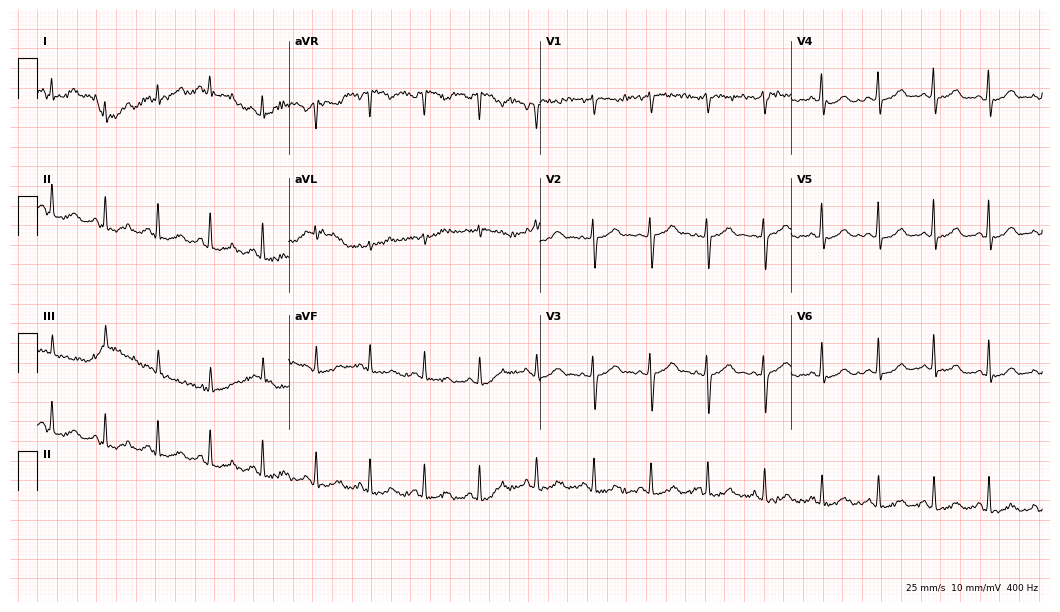
Resting 12-lead electrocardiogram. Patient: a 36-year-old female. None of these six findings is recorded: first-degree AV block, right bundle branch block (RBBB), left bundle branch block (LBBB), sinus bradycardia, atrial fibrillation (AF), sinus tachycardia.